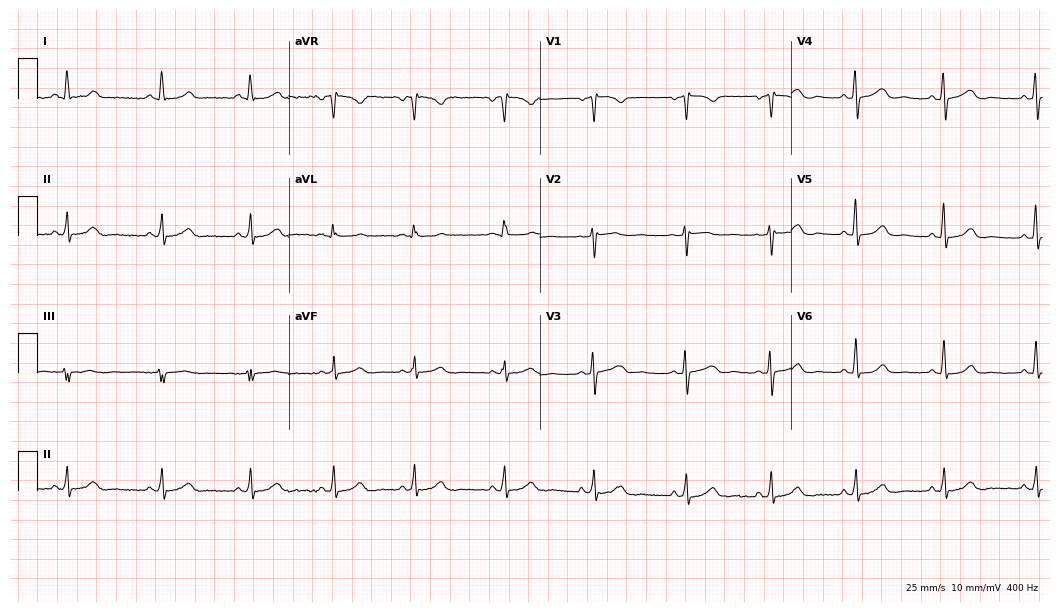
Resting 12-lead electrocardiogram. Patient: a 39-year-old female. Read as a normal ECG.